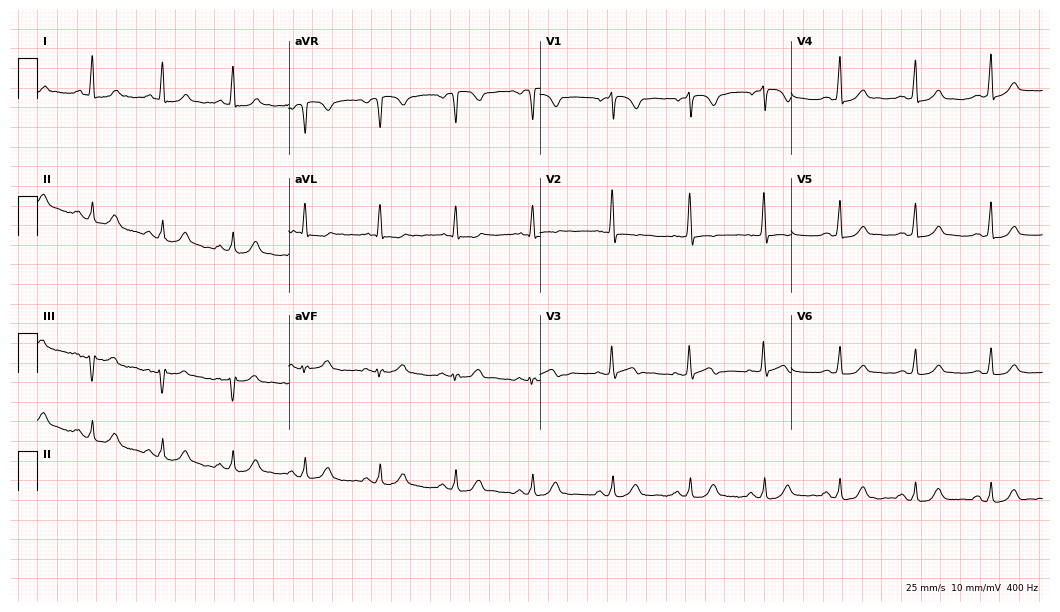
Standard 12-lead ECG recorded from a female patient, 65 years old. Read as a normal ECG.